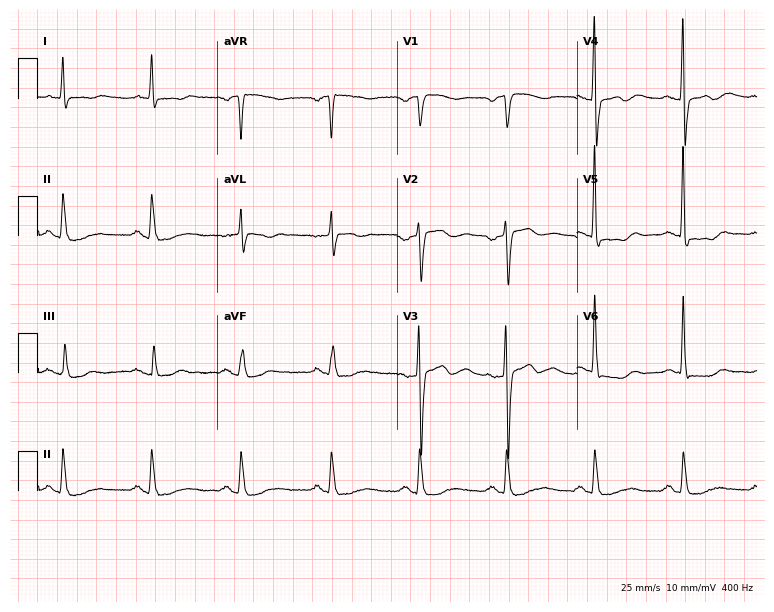
ECG — a 60-year-old woman. Screened for six findings — first-degree AV block, right bundle branch block, left bundle branch block, sinus bradycardia, atrial fibrillation, sinus tachycardia — none is recorded.